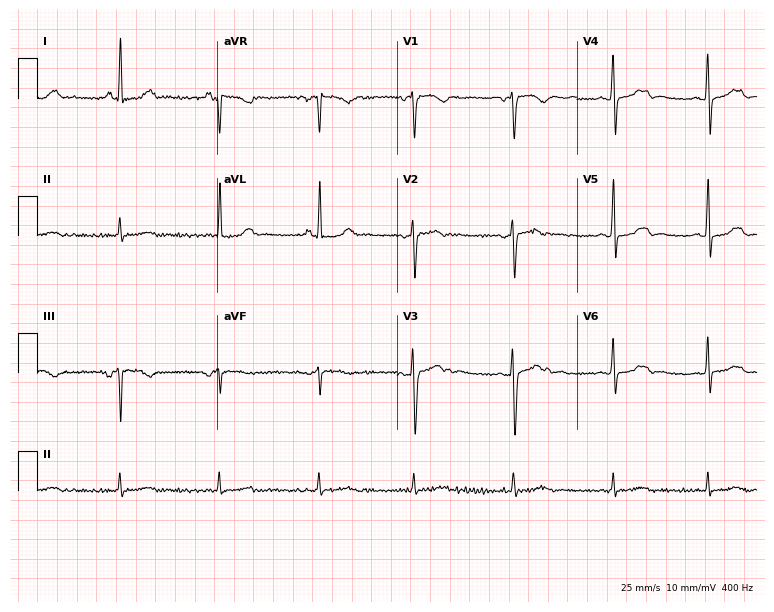
ECG (7.3-second recording at 400 Hz) — a female patient, 38 years old. Screened for six findings — first-degree AV block, right bundle branch block (RBBB), left bundle branch block (LBBB), sinus bradycardia, atrial fibrillation (AF), sinus tachycardia — none is recorded.